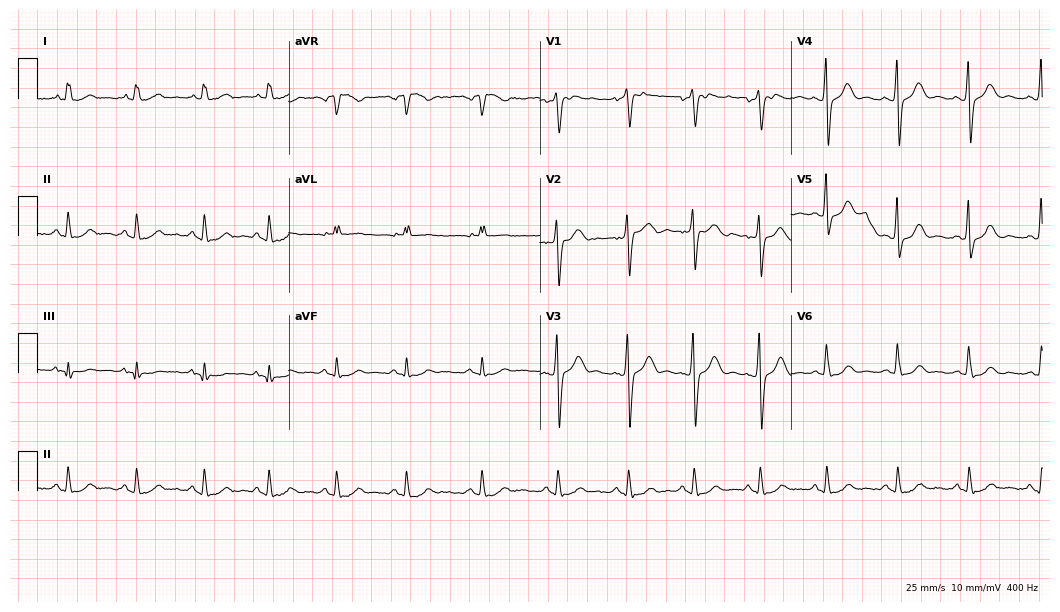
ECG — a 48-year-old man. Labelled as a normal ECG.